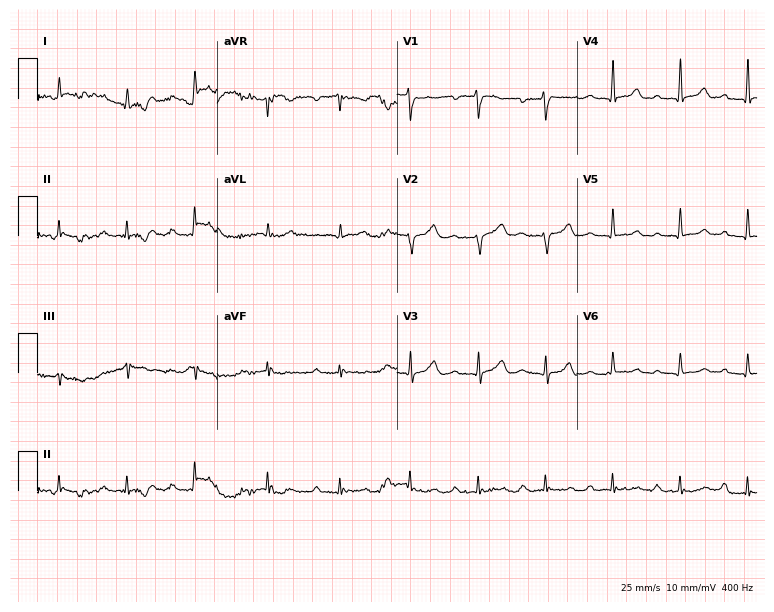
ECG (7.3-second recording at 400 Hz) — a male patient, 42 years old. Findings include first-degree AV block.